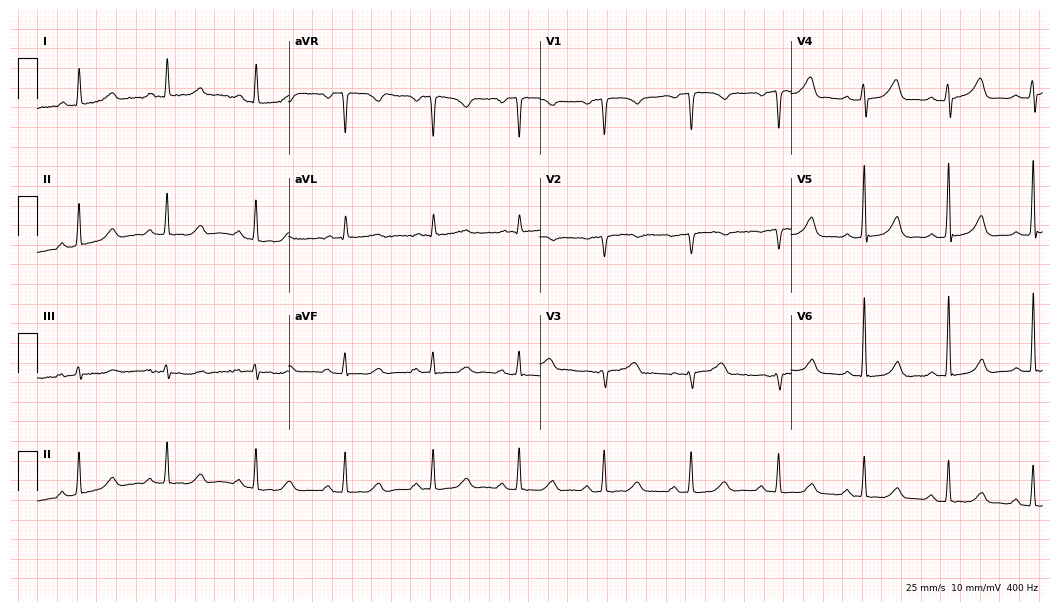
ECG (10.2-second recording at 400 Hz) — a 48-year-old woman. Screened for six findings — first-degree AV block, right bundle branch block (RBBB), left bundle branch block (LBBB), sinus bradycardia, atrial fibrillation (AF), sinus tachycardia — none is recorded. Other findings, if any, are not listed.